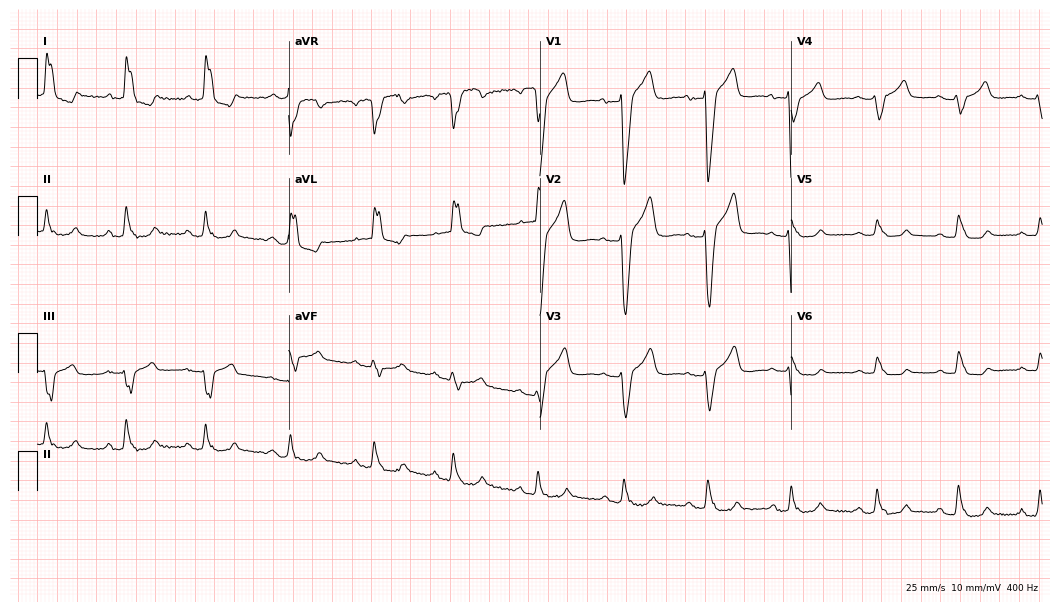
Standard 12-lead ECG recorded from a woman, 72 years old. The tracing shows left bundle branch block.